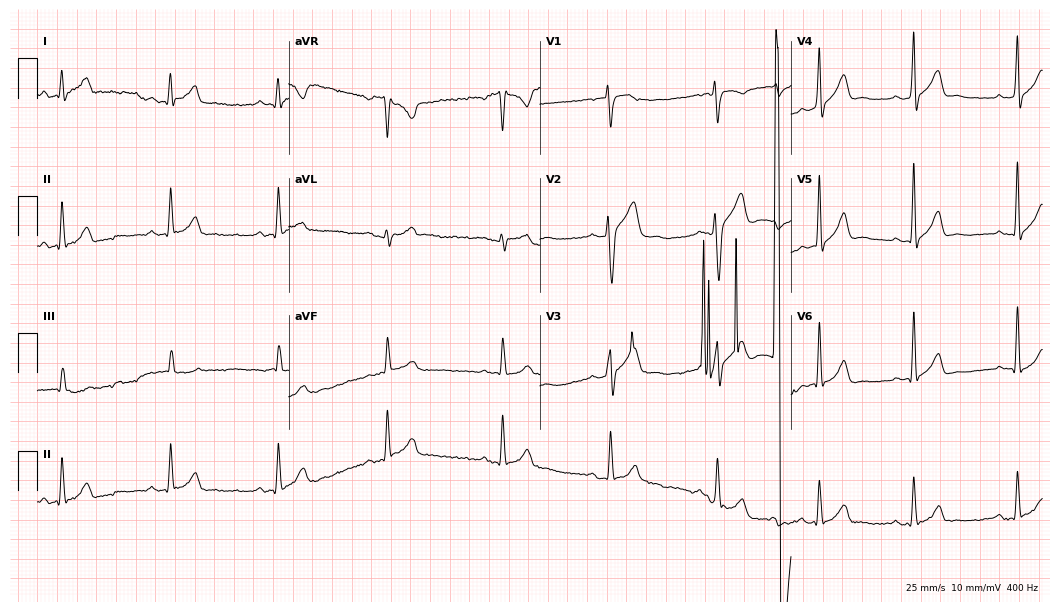
12-lead ECG from a 35-year-old man. No first-degree AV block, right bundle branch block, left bundle branch block, sinus bradycardia, atrial fibrillation or sinus tachycardia recorded for this tracing. Other findings, if any, are not listed.